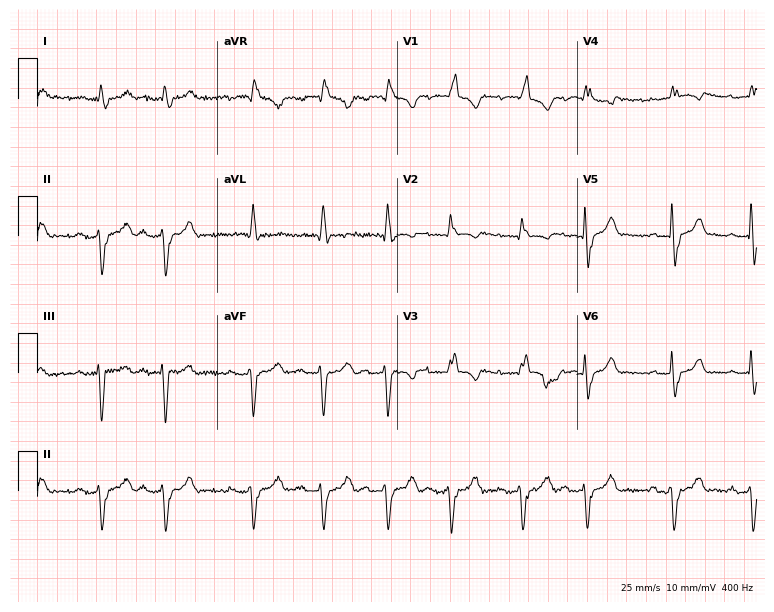
Resting 12-lead electrocardiogram (7.3-second recording at 400 Hz). Patient: a 70-year-old male. The tracing shows right bundle branch block, atrial fibrillation.